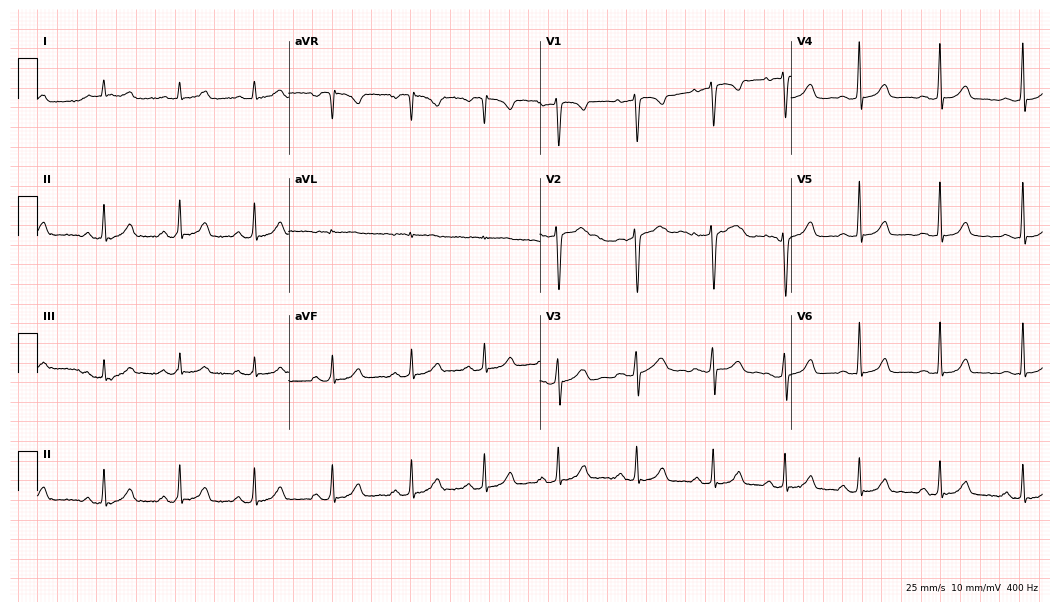
ECG (10.2-second recording at 400 Hz) — a female patient, 29 years old. Labelled as a normal ECG.